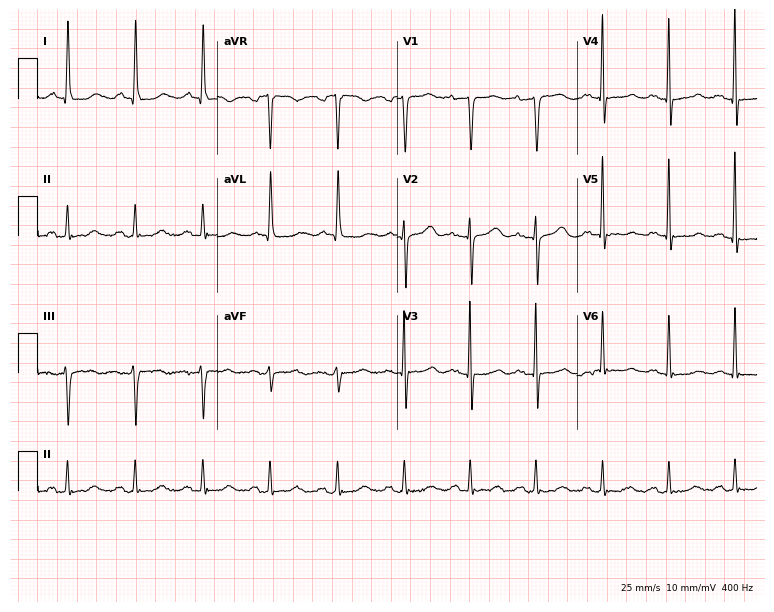
Resting 12-lead electrocardiogram (7.3-second recording at 400 Hz). Patient: a female, 78 years old. None of these six findings is recorded: first-degree AV block, right bundle branch block, left bundle branch block, sinus bradycardia, atrial fibrillation, sinus tachycardia. Other findings, if any, are not listed.